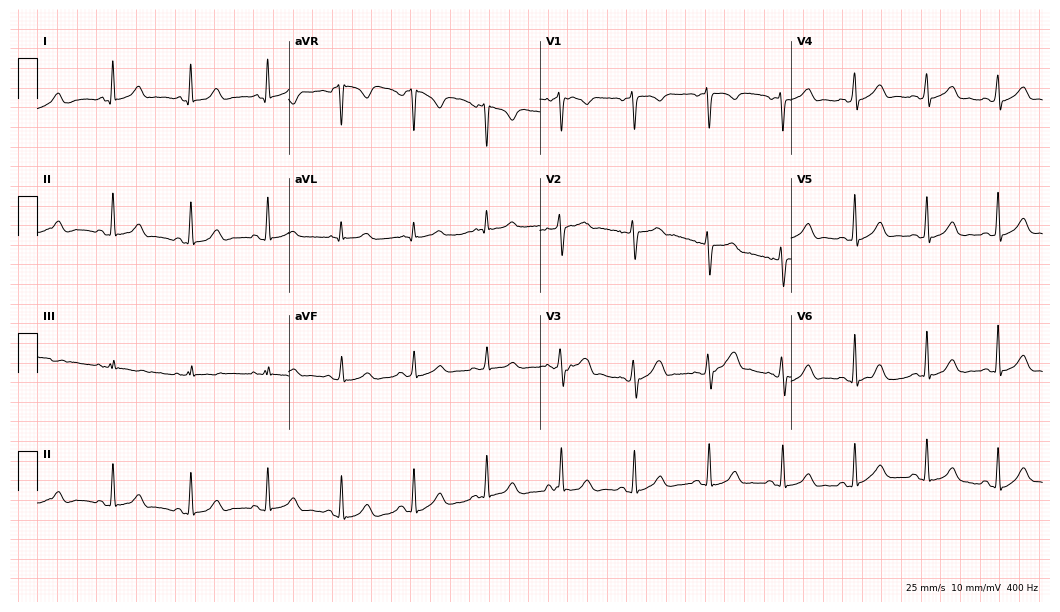
Resting 12-lead electrocardiogram. Patient: a 35-year-old woman. Read as a normal ECG.